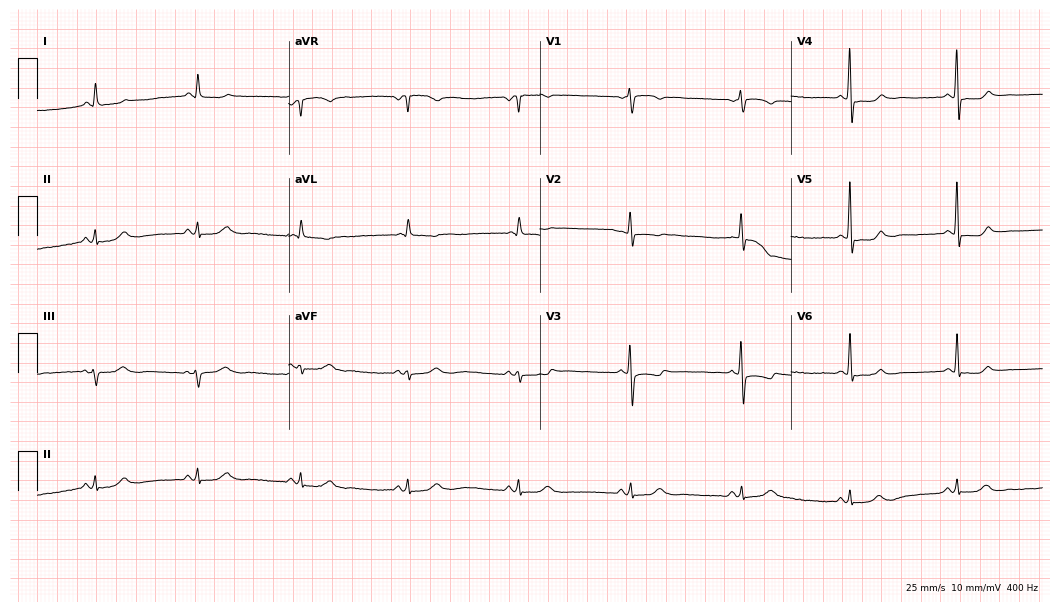
Resting 12-lead electrocardiogram. Patient: a 66-year-old female. Read as a normal ECG.